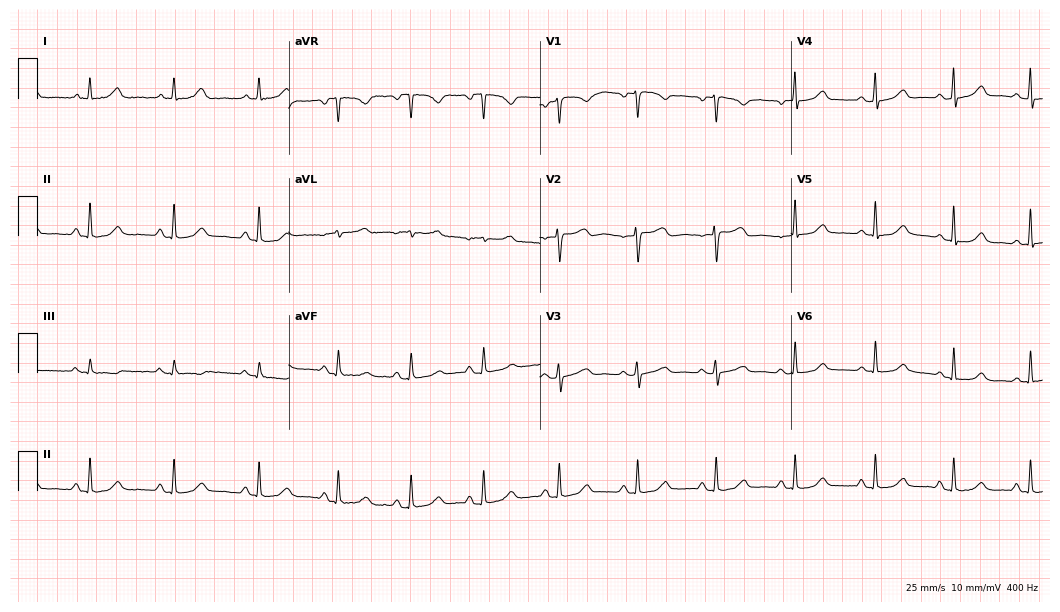
Resting 12-lead electrocardiogram. Patient: a woman, 51 years old. Read as a normal ECG.